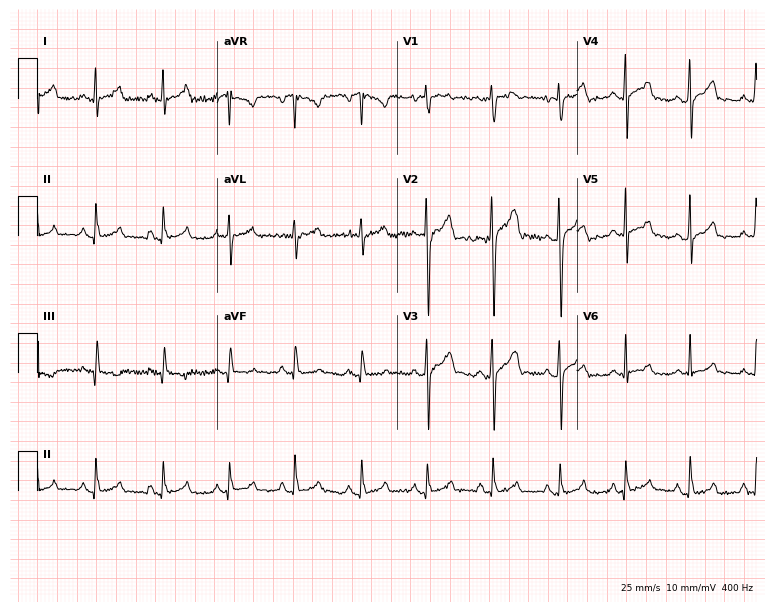
12-lead ECG from a man, 23 years old (7.3-second recording at 400 Hz). Recorded interpretation: within normal limits.